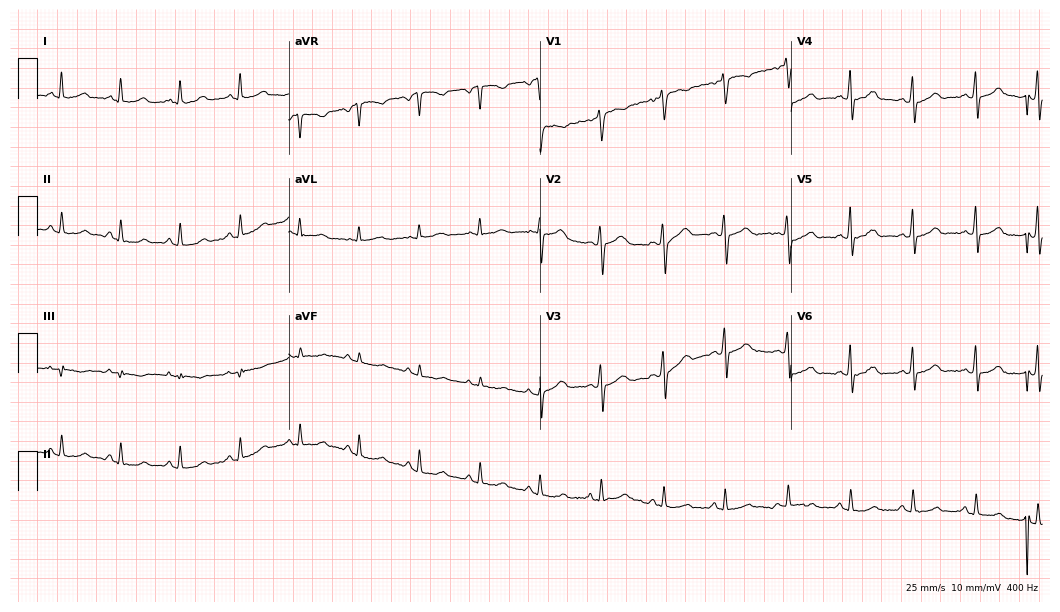
ECG — a 37-year-old woman. Labelled as a normal ECG.